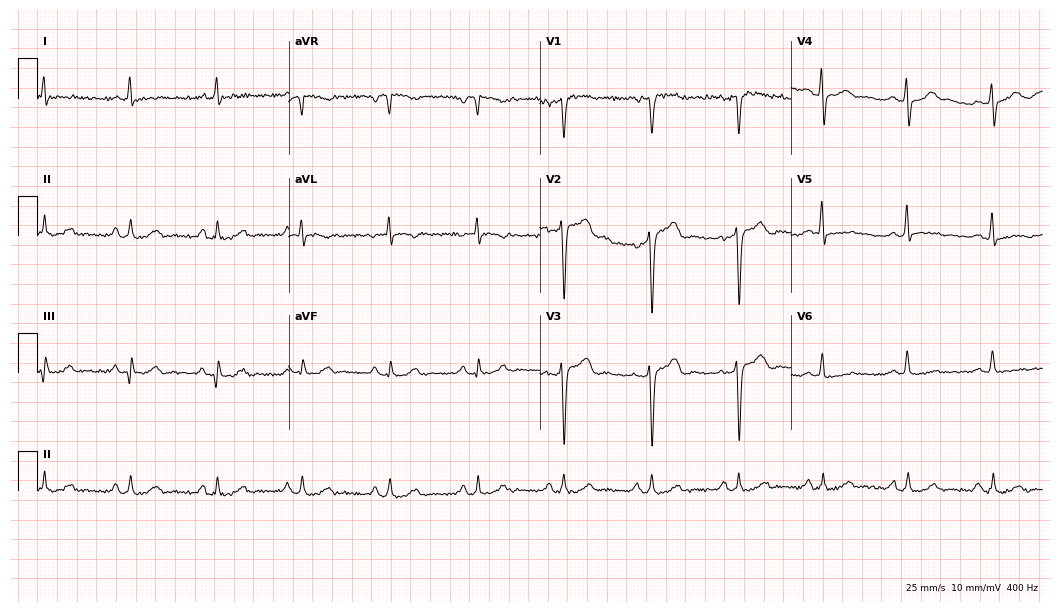
12-lead ECG from a man, 54 years old. No first-degree AV block, right bundle branch block (RBBB), left bundle branch block (LBBB), sinus bradycardia, atrial fibrillation (AF) or sinus tachycardia recorded for this tracing. Findings outside these six are not listed.